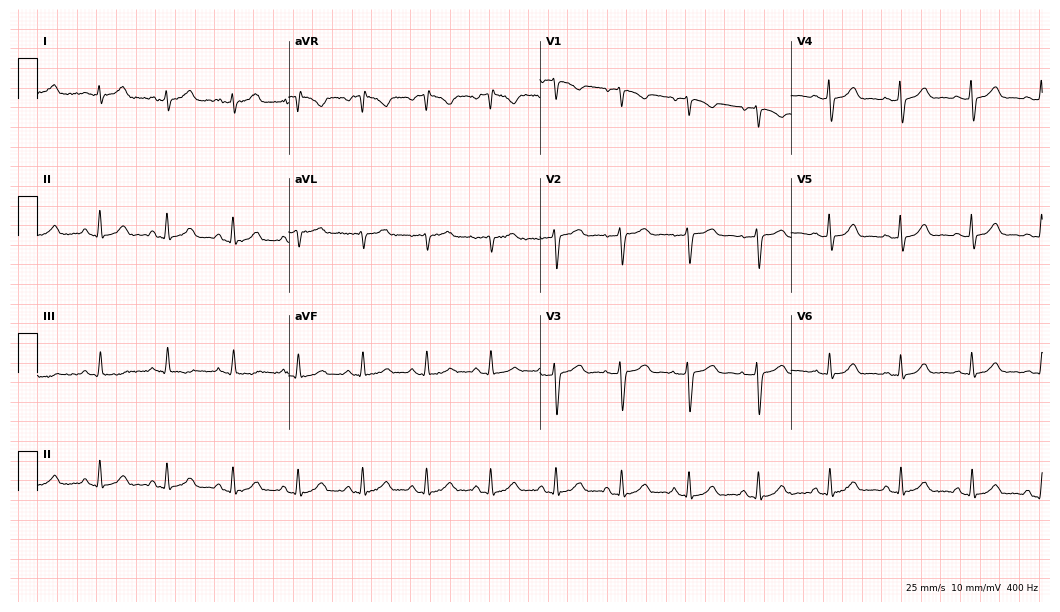
12-lead ECG from a 46-year-old female (10.2-second recording at 400 Hz). No first-degree AV block, right bundle branch block (RBBB), left bundle branch block (LBBB), sinus bradycardia, atrial fibrillation (AF) or sinus tachycardia recorded for this tracing. Only these six findings were labelled.